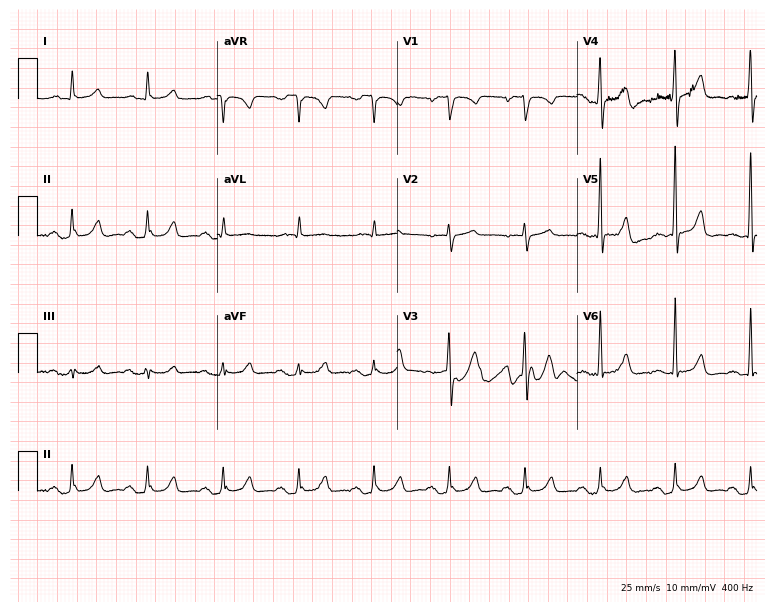
Resting 12-lead electrocardiogram. Patient: an 85-year-old male. None of these six findings is recorded: first-degree AV block, right bundle branch block (RBBB), left bundle branch block (LBBB), sinus bradycardia, atrial fibrillation (AF), sinus tachycardia.